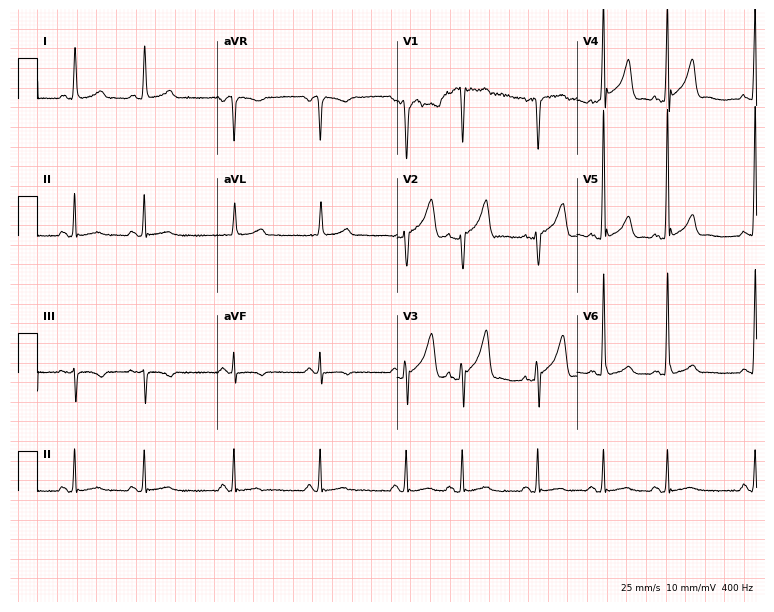
ECG (7.3-second recording at 400 Hz) — a male, 64 years old. Screened for six findings — first-degree AV block, right bundle branch block, left bundle branch block, sinus bradycardia, atrial fibrillation, sinus tachycardia — none is recorded. Findings outside these six are not listed.